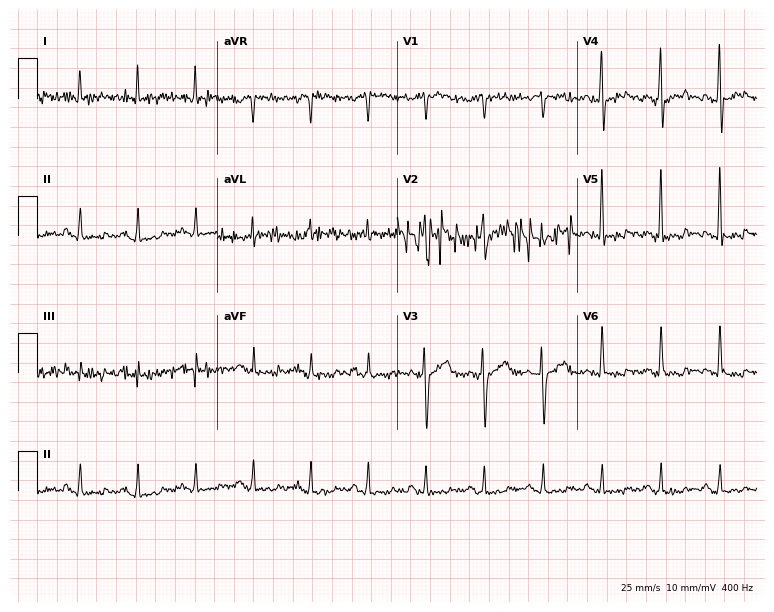
ECG — a 53-year-old male. Screened for six findings — first-degree AV block, right bundle branch block, left bundle branch block, sinus bradycardia, atrial fibrillation, sinus tachycardia — none is recorded.